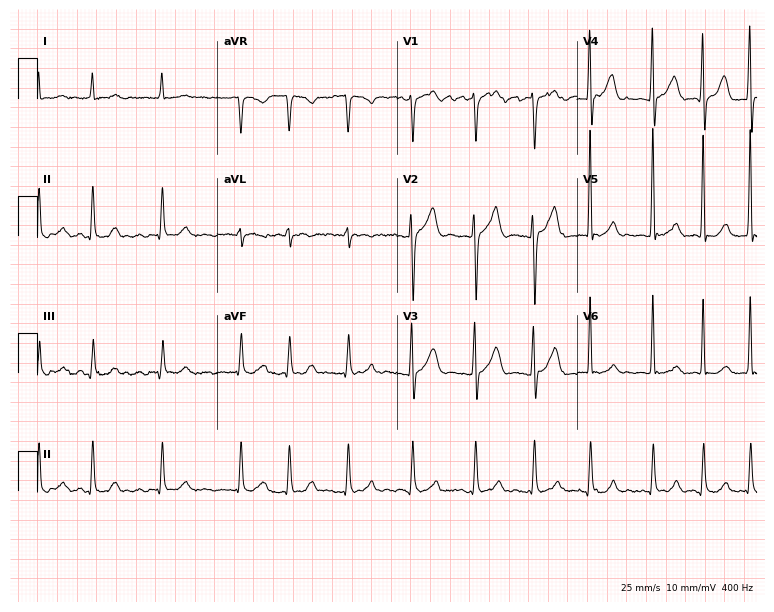
Electrocardiogram, a man, 72 years old. Interpretation includes atrial fibrillation (AF).